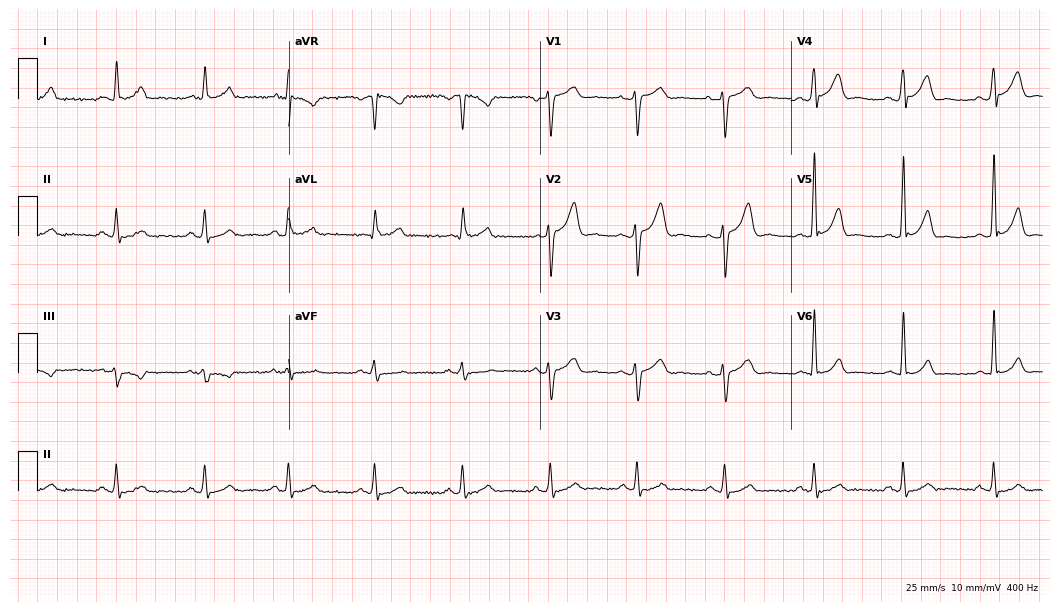
Electrocardiogram (10.2-second recording at 400 Hz), a male, 45 years old. Overall reading on record: normal ECG.